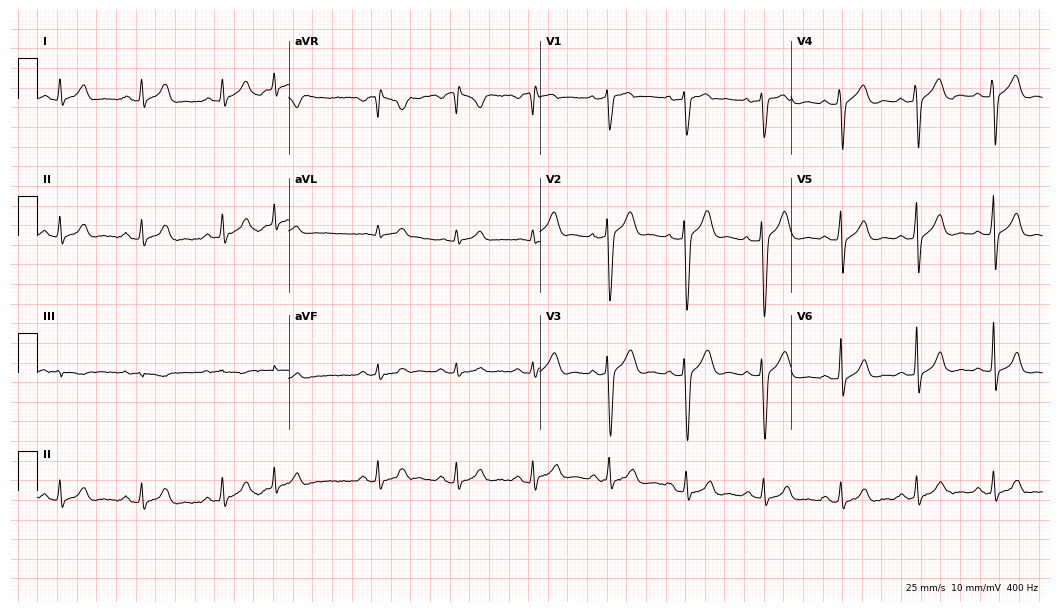
Standard 12-lead ECG recorded from a man, 33 years old. Read as a normal ECG.